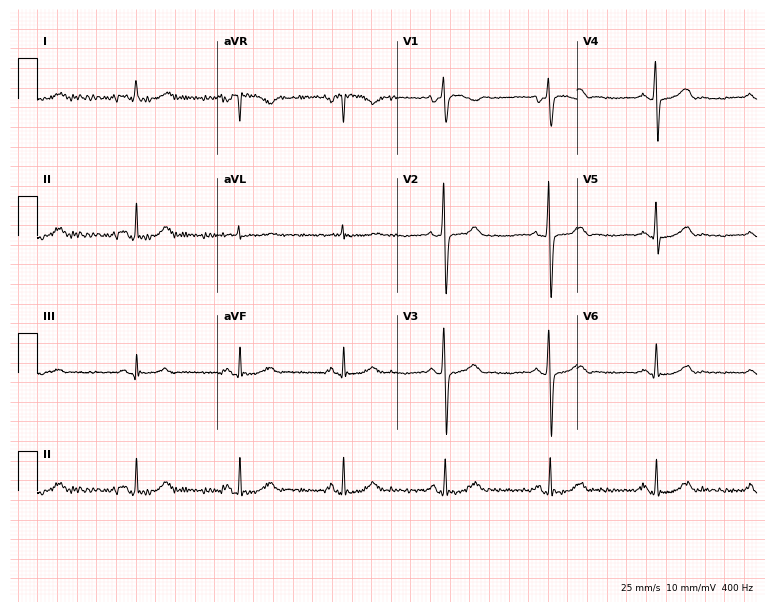
12-lead ECG from a 55-year-old man. Labelled as a normal ECG.